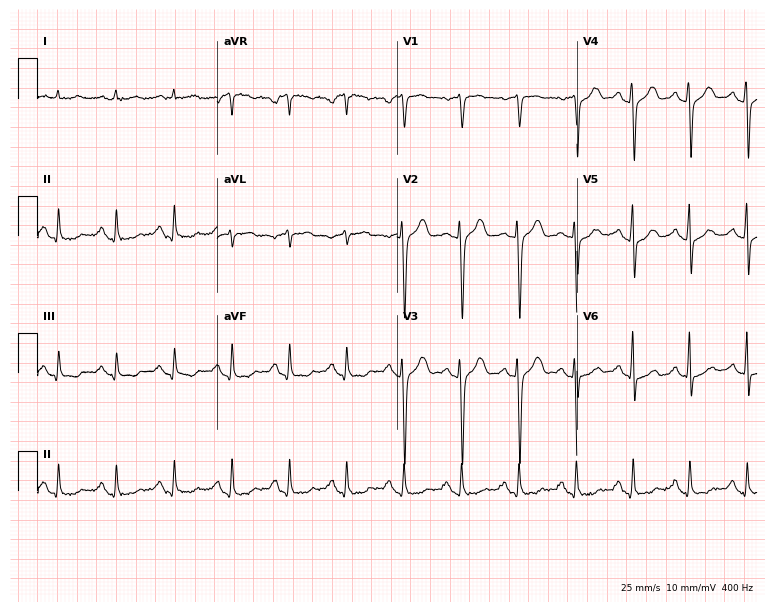
12-lead ECG (7.3-second recording at 400 Hz) from a male patient, 76 years old. Labelled as a normal ECG.